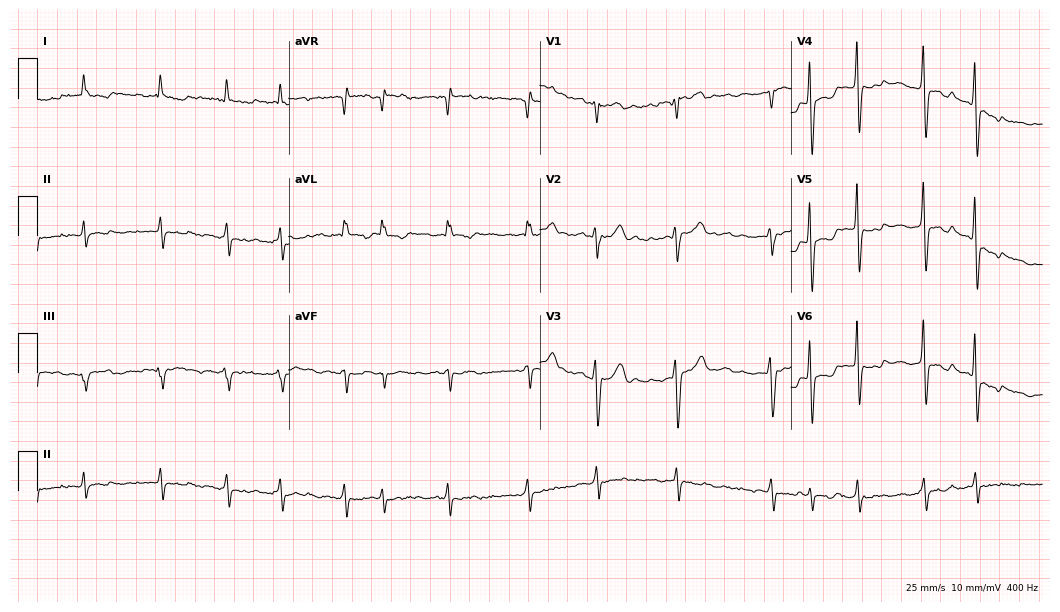
Resting 12-lead electrocardiogram. Patient: an 81-year-old male. None of these six findings is recorded: first-degree AV block, right bundle branch block, left bundle branch block, sinus bradycardia, atrial fibrillation, sinus tachycardia. Only these six findings were labelled.